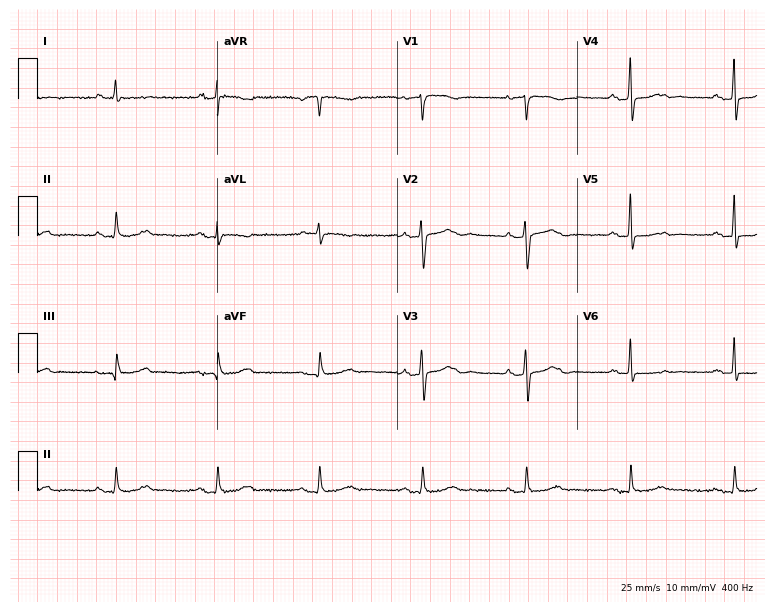
Resting 12-lead electrocardiogram (7.3-second recording at 400 Hz). Patient: a 75-year-old male. None of these six findings is recorded: first-degree AV block, right bundle branch block, left bundle branch block, sinus bradycardia, atrial fibrillation, sinus tachycardia. Findings outside these six are not listed.